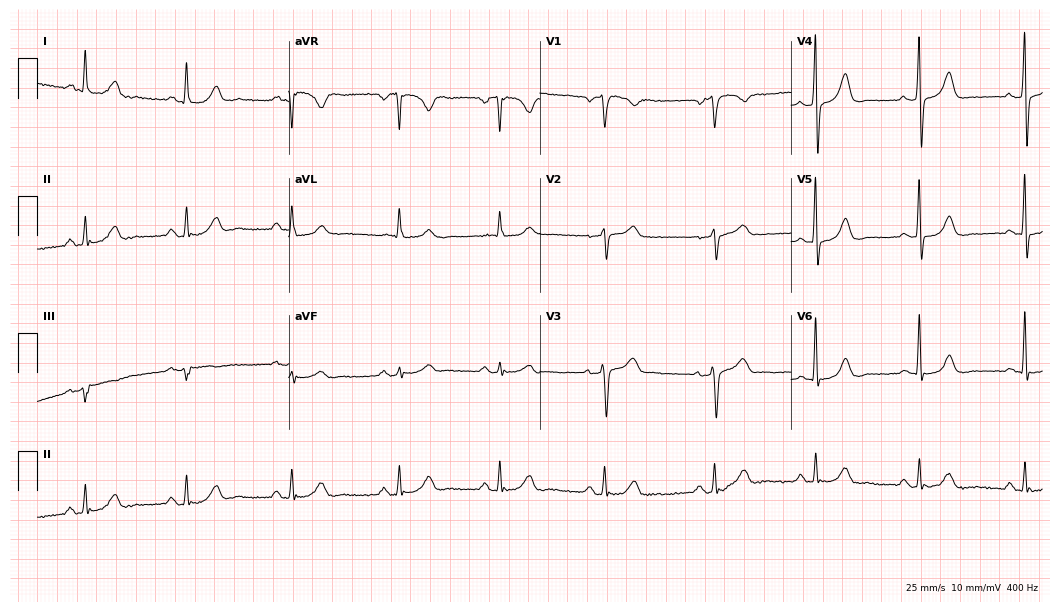
12-lead ECG from a 63-year-old female patient (10.2-second recording at 400 Hz). Recorded interpretation: within normal limits.